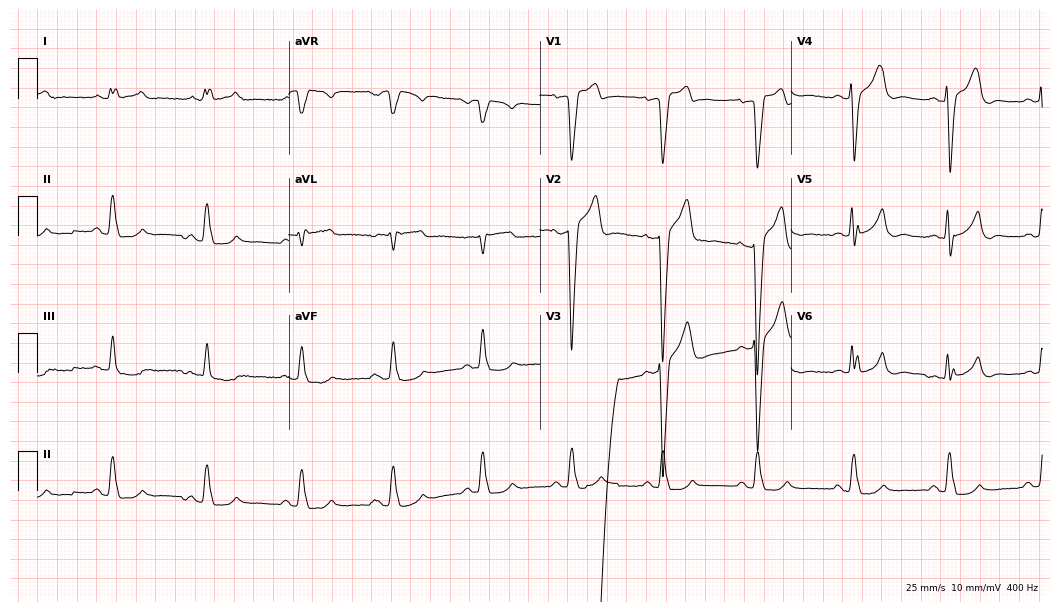
12-lead ECG (10.2-second recording at 400 Hz) from a 67-year-old male patient. Screened for six findings — first-degree AV block, right bundle branch block, left bundle branch block, sinus bradycardia, atrial fibrillation, sinus tachycardia — none is recorded. Findings outside these six are not listed.